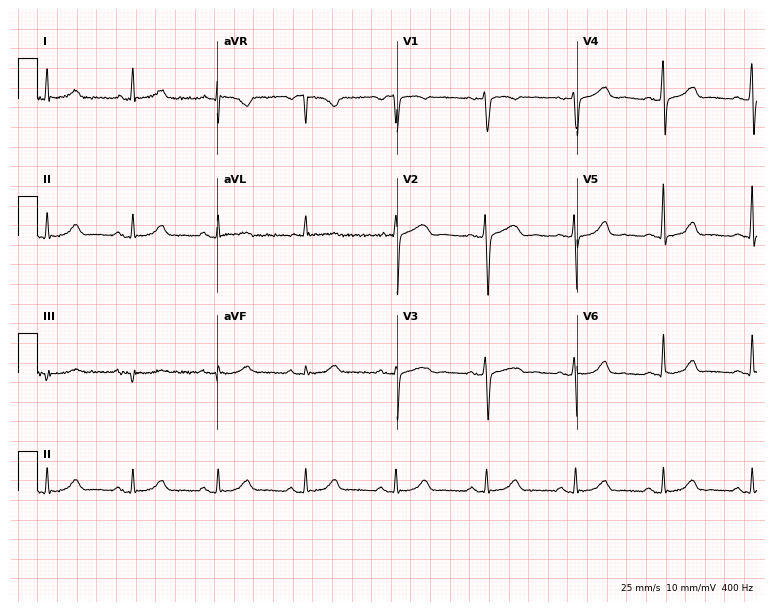
Electrocardiogram (7.3-second recording at 400 Hz), a 53-year-old female patient. Overall reading on record: normal ECG.